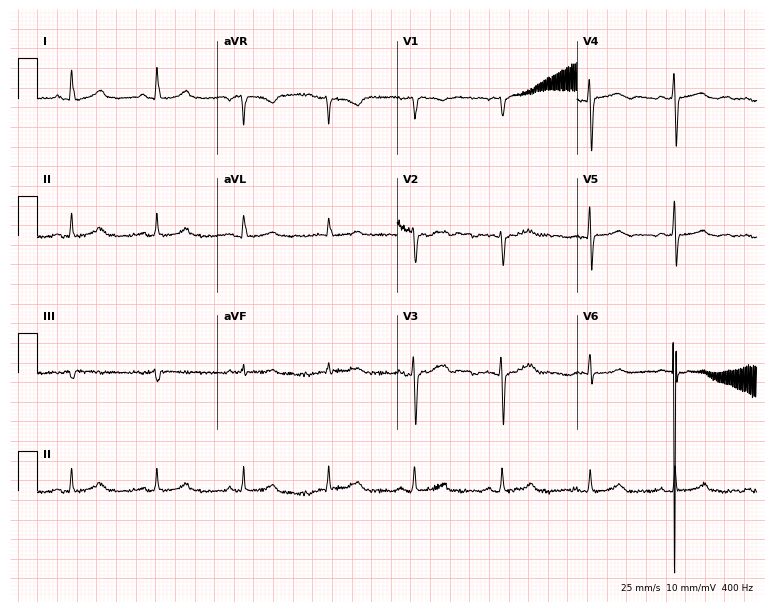
ECG (7.3-second recording at 400 Hz) — a 51-year-old woman. Labelled as a normal ECG.